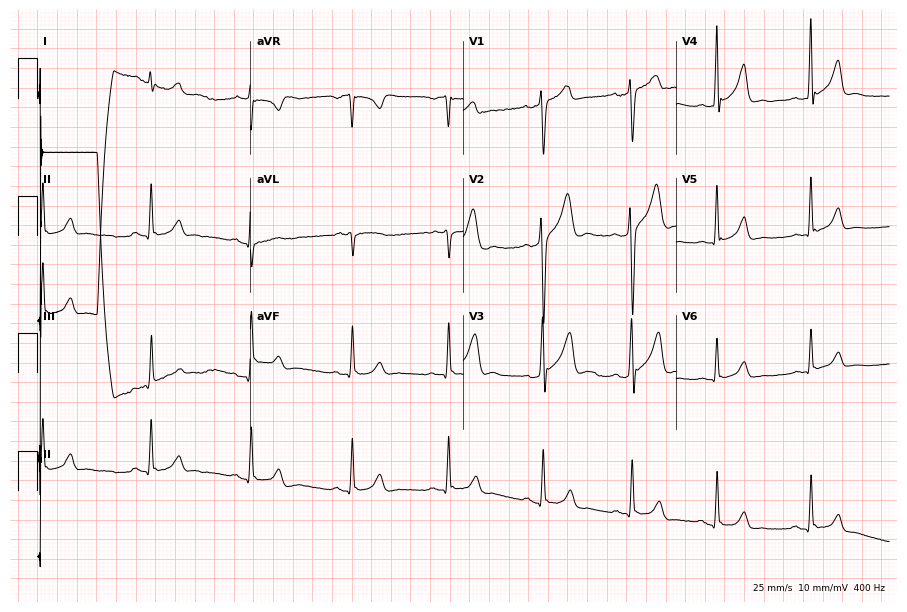
12-lead ECG (8.7-second recording at 400 Hz) from a 45-year-old male patient. Screened for six findings — first-degree AV block, right bundle branch block (RBBB), left bundle branch block (LBBB), sinus bradycardia, atrial fibrillation (AF), sinus tachycardia — none is recorded. Other findings, if any, are not listed.